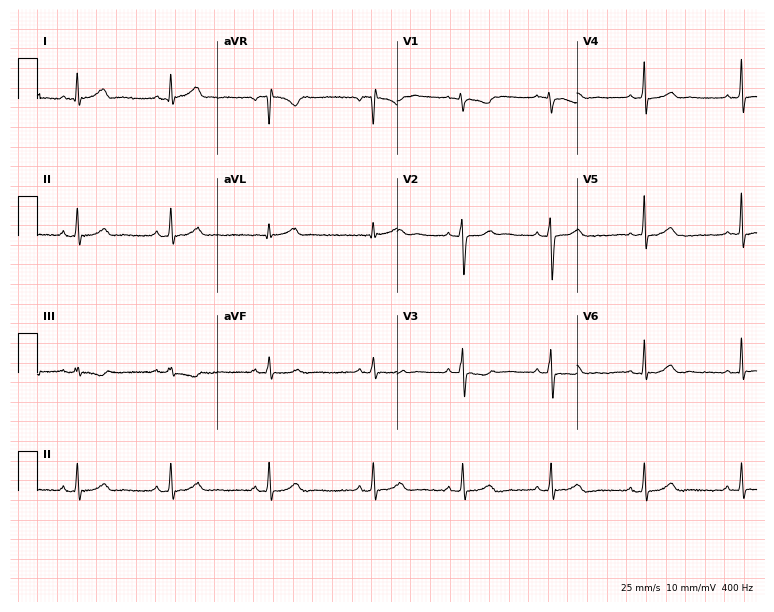
Electrocardiogram, a 46-year-old woman. Overall reading on record: normal ECG.